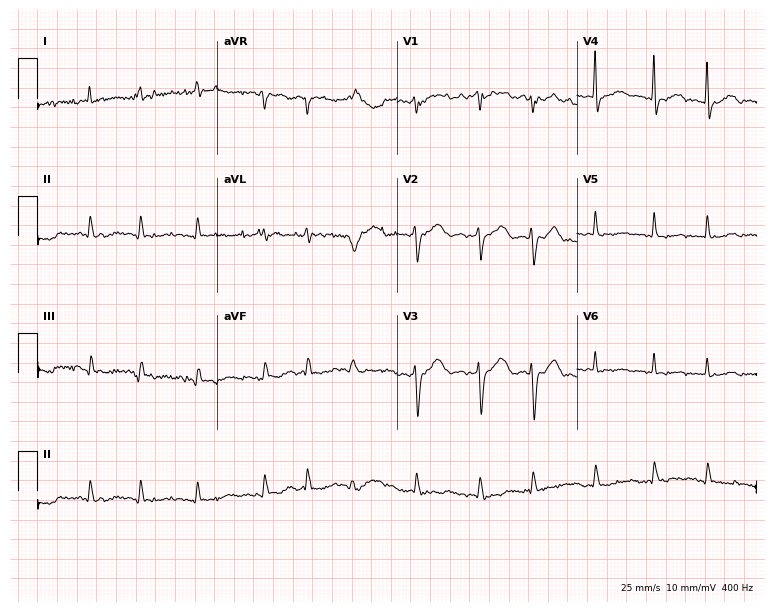
12-lead ECG (7.3-second recording at 400 Hz) from a female patient, 85 years old. Findings include atrial fibrillation.